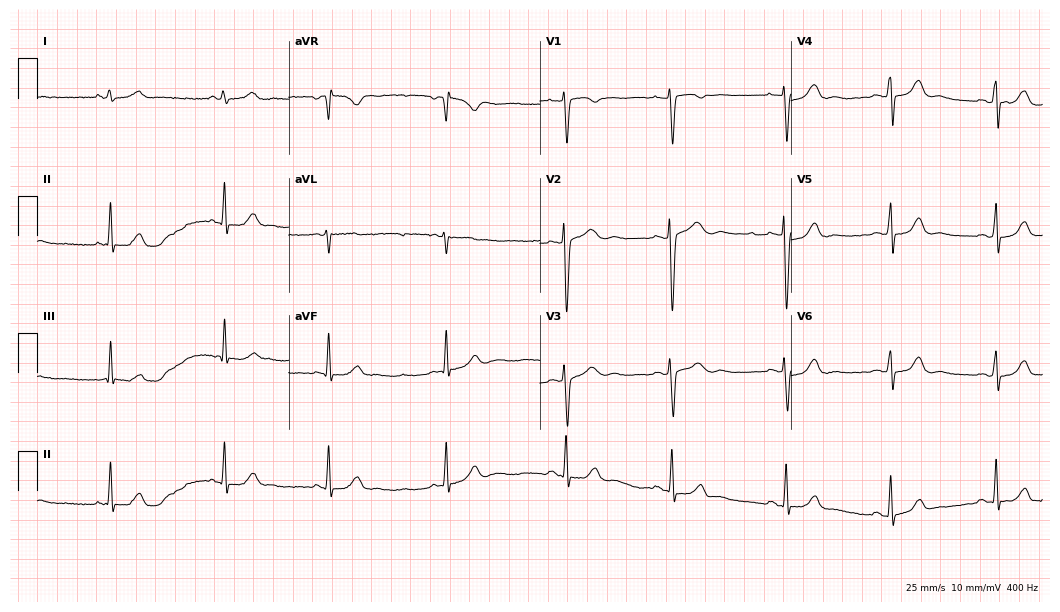
Electrocardiogram (10.2-second recording at 400 Hz), a woman, 29 years old. Overall reading on record: normal ECG.